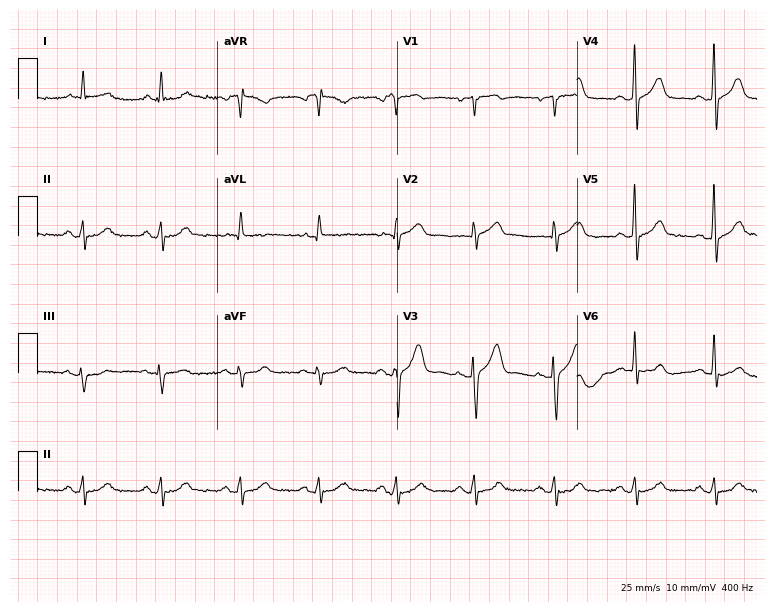
Resting 12-lead electrocardiogram (7.3-second recording at 400 Hz). Patient: a 77-year-old man. None of these six findings is recorded: first-degree AV block, right bundle branch block (RBBB), left bundle branch block (LBBB), sinus bradycardia, atrial fibrillation (AF), sinus tachycardia. Only these six findings were labelled.